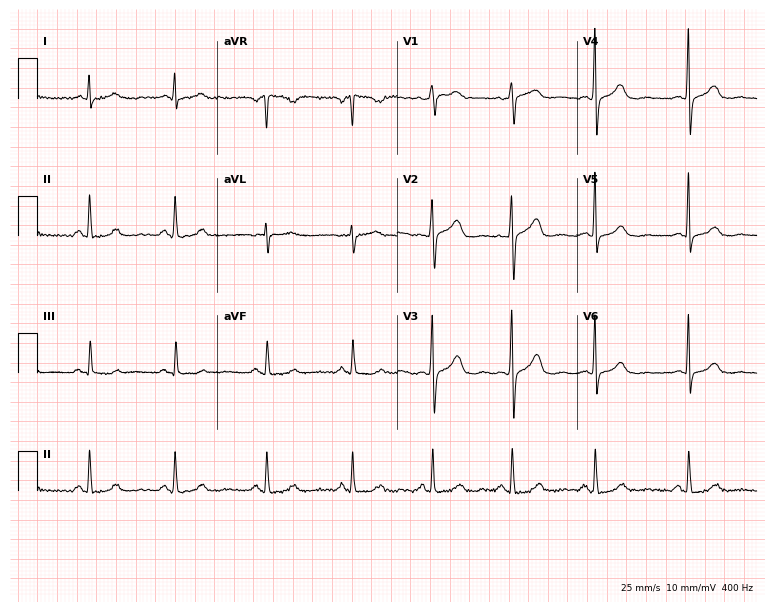
12-lead ECG from a woman, 59 years old. No first-degree AV block, right bundle branch block (RBBB), left bundle branch block (LBBB), sinus bradycardia, atrial fibrillation (AF) or sinus tachycardia recorded for this tracing. Only these six findings were labelled.